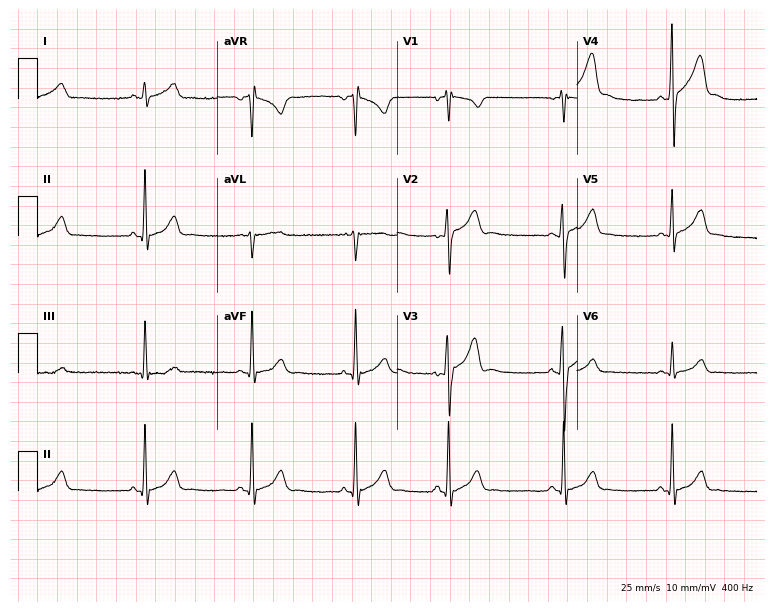
12-lead ECG (7.3-second recording at 400 Hz) from an 18-year-old male. Labelled as a normal ECG.